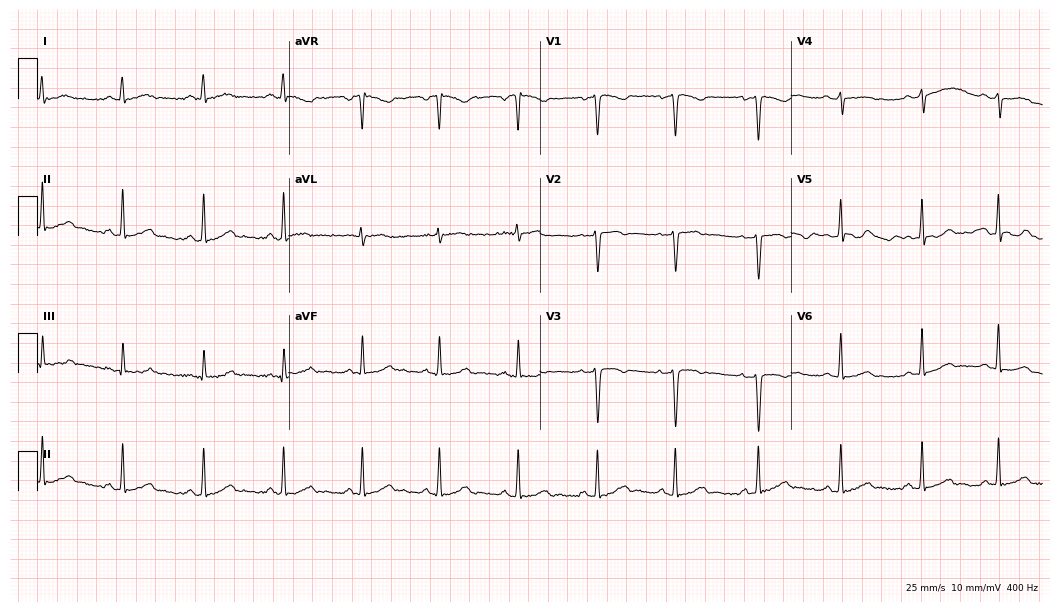
Standard 12-lead ECG recorded from a 37-year-old female (10.2-second recording at 400 Hz). None of these six findings is recorded: first-degree AV block, right bundle branch block (RBBB), left bundle branch block (LBBB), sinus bradycardia, atrial fibrillation (AF), sinus tachycardia. Other findings, if any, are not listed.